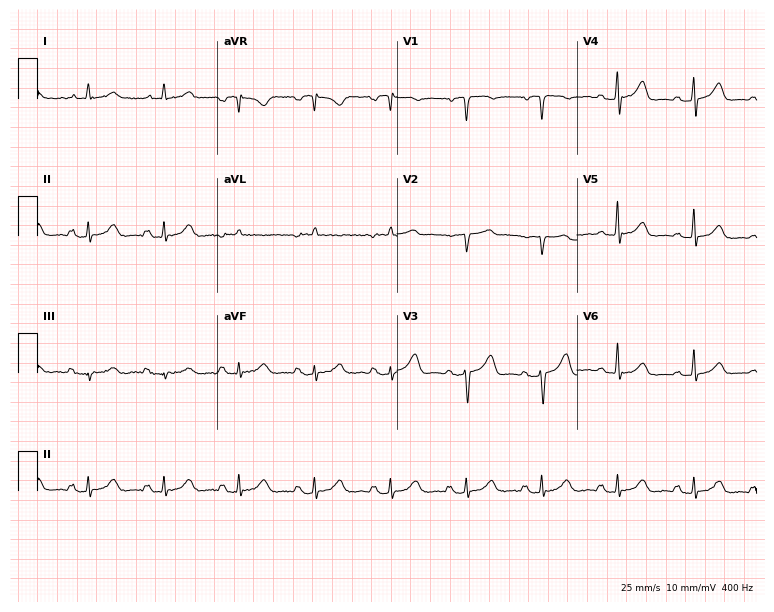
Resting 12-lead electrocardiogram (7.3-second recording at 400 Hz). Patient: a female, 78 years old. None of these six findings is recorded: first-degree AV block, right bundle branch block (RBBB), left bundle branch block (LBBB), sinus bradycardia, atrial fibrillation (AF), sinus tachycardia. Findings outside these six are not listed.